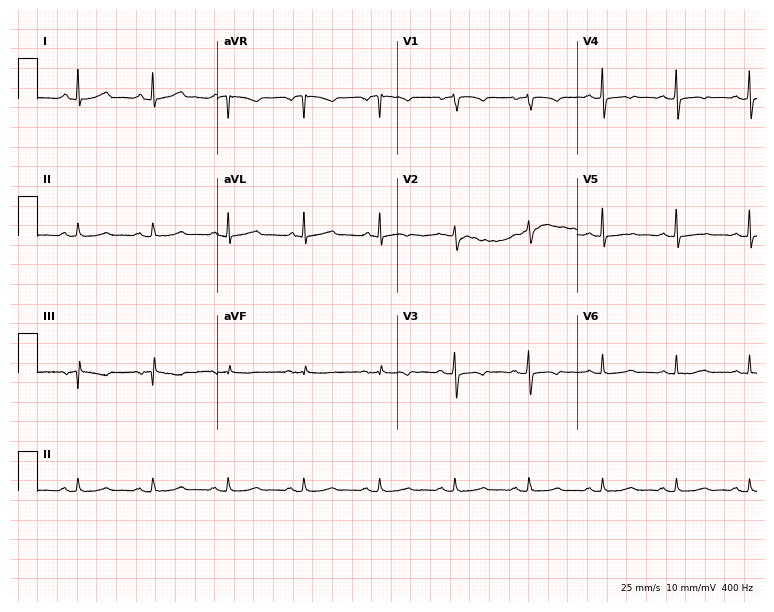
ECG (7.3-second recording at 400 Hz) — a female, 54 years old. Screened for six findings — first-degree AV block, right bundle branch block (RBBB), left bundle branch block (LBBB), sinus bradycardia, atrial fibrillation (AF), sinus tachycardia — none is recorded. Findings outside these six are not listed.